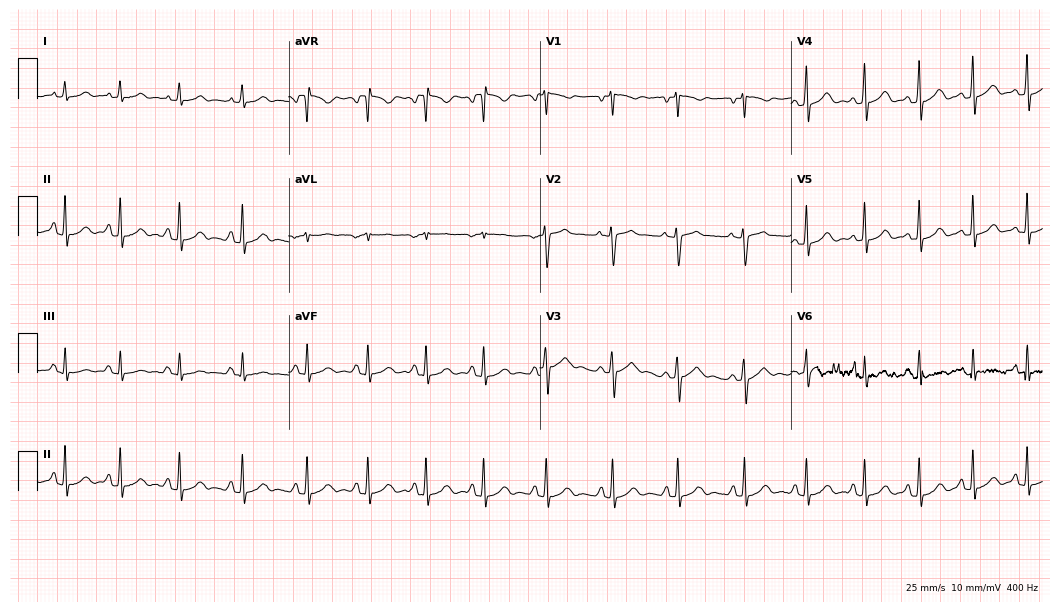
Standard 12-lead ECG recorded from a 21-year-old female patient. Read as a normal ECG.